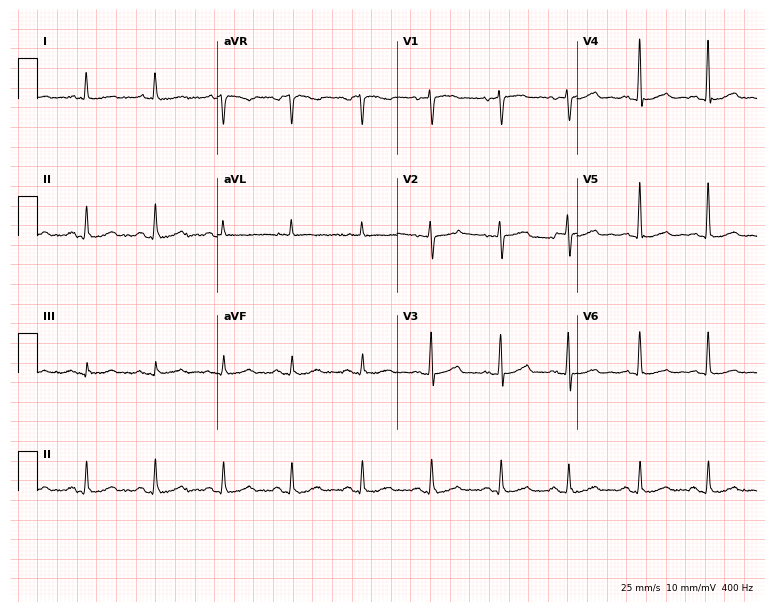
12-lead ECG from a 73-year-old male patient (7.3-second recording at 400 Hz). No first-degree AV block, right bundle branch block (RBBB), left bundle branch block (LBBB), sinus bradycardia, atrial fibrillation (AF) or sinus tachycardia recorded for this tracing.